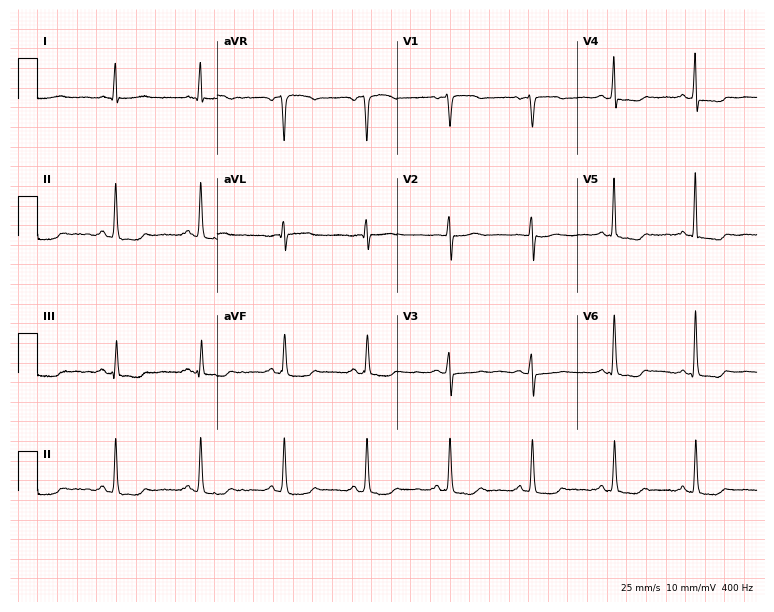
Resting 12-lead electrocardiogram (7.3-second recording at 400 Hz). Patient: a 53-year-old woman. None of these six findings is recorded: first-degree AV block, right bundle branch block (RBBB), left bundle branch block (LBBB), sinus bradycardia, atrial fibrillation (AF), sinus tachycardia. Other findings, if any, are not listed.